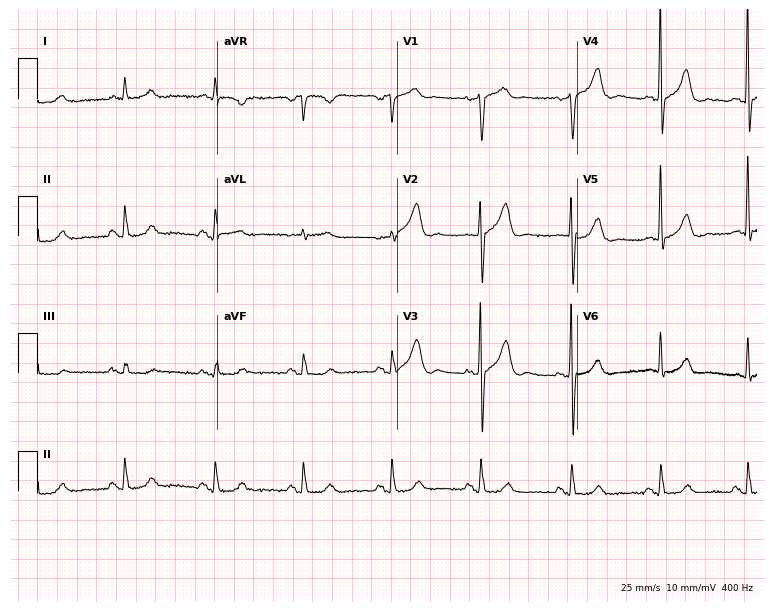
12-lead ECG from a male patient, 83 years old. Screened for six findings — first-degree AV block, right bundle branch block, left bundle branch block, sinus bradycardia, atrial fibrillation, sinus tachycardia — none is recorded.